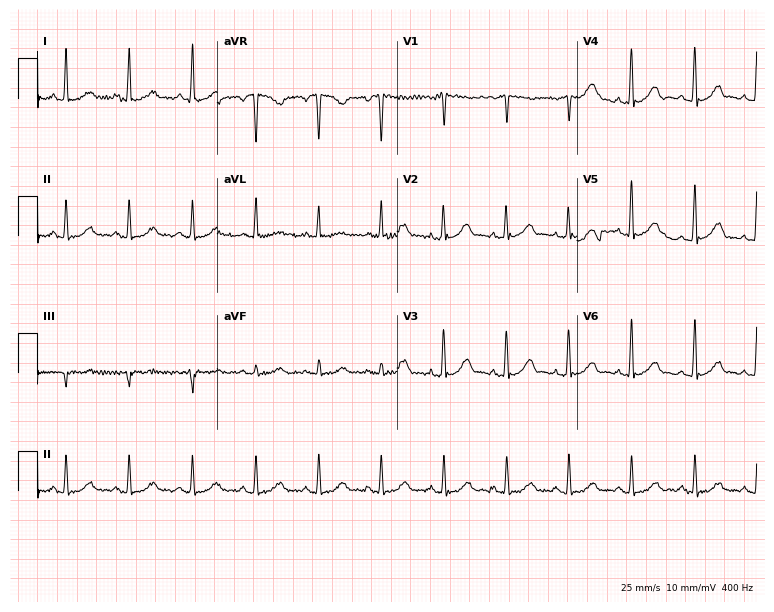
Electrocardiogram, a 48-year-old female patient. Overall reading on record: normal ECG.